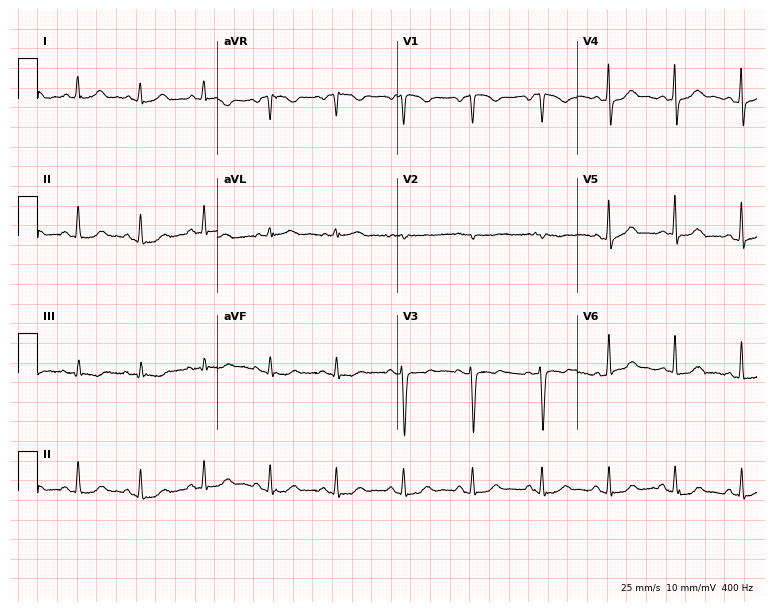
12-lead ECG (7.3-second recording at 400 Hz) from a woman, 34 years old. Labelled as a normal ECG.